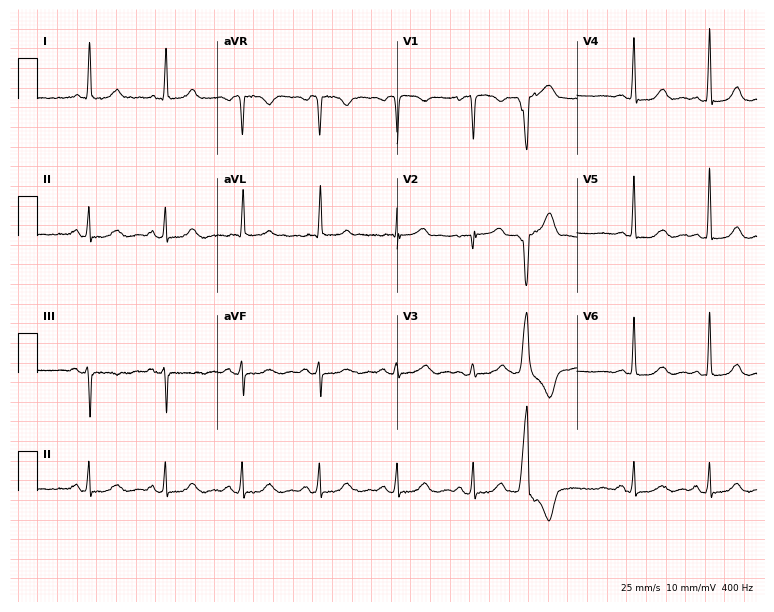
ECG — a female, 73 years old. Screened for six findings — first-degree AV block, right bundle branch block, left bundle branch block, sinus bradycardia, atrial fibrillation, sinus tachycardia — none is recorded.